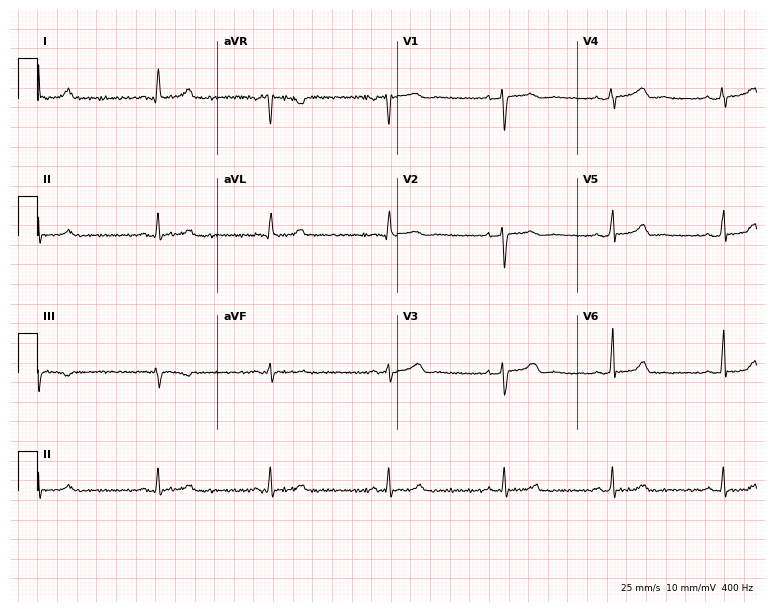
Electrocardiogram, a 46-year-old woman. Overall reading on record: normal ECG.